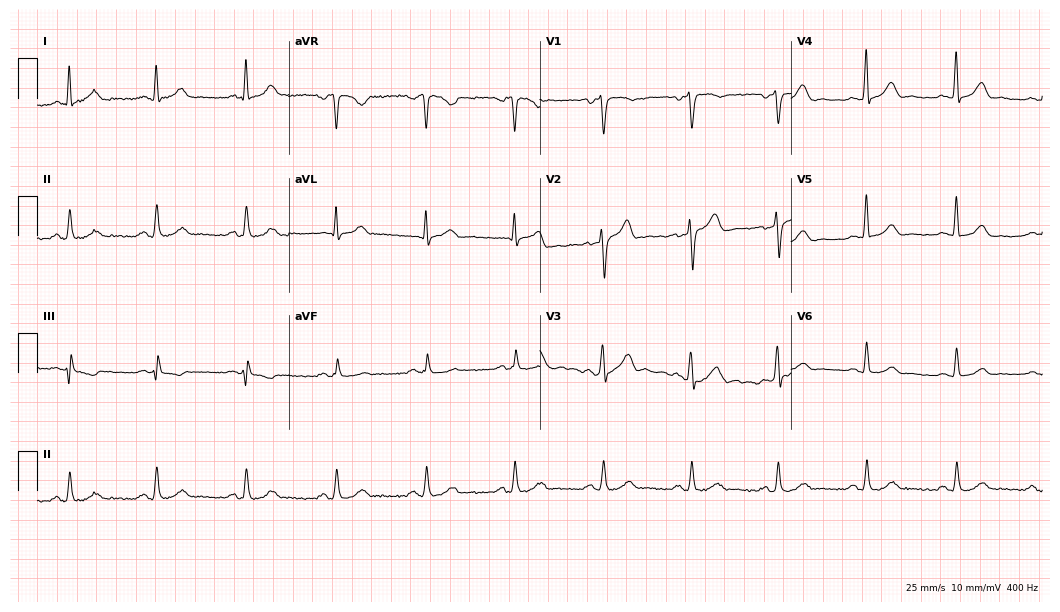
Electrocardiogram (10.2-second recording at 400 Hz), a 52-year-old man. Overall reading on record: normal ECG.